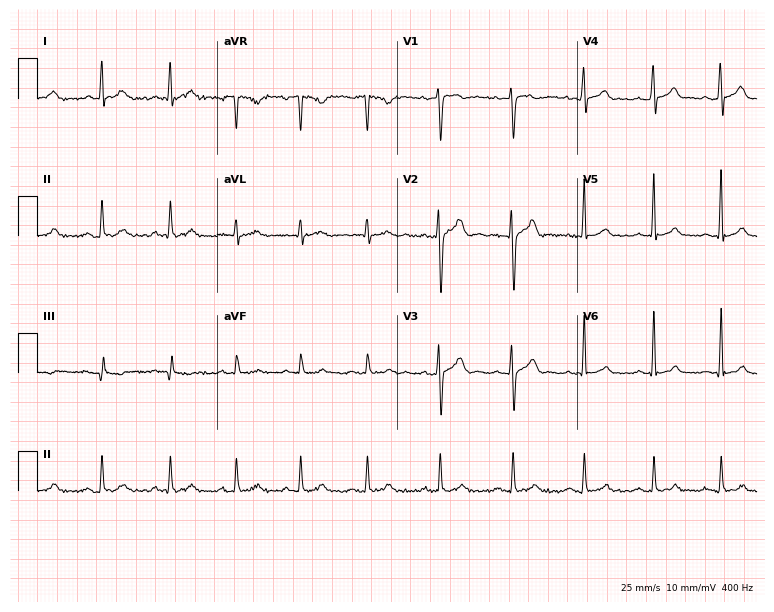
ECG (7.3-second recording at 400 Hz) — a male, 25 years old. Screened for six findings — first-degree AV block, right bundle branch block, left bundle branch block, sinus bradycardia, atrial fibrillation, sinus tachycardia — none is recorded.